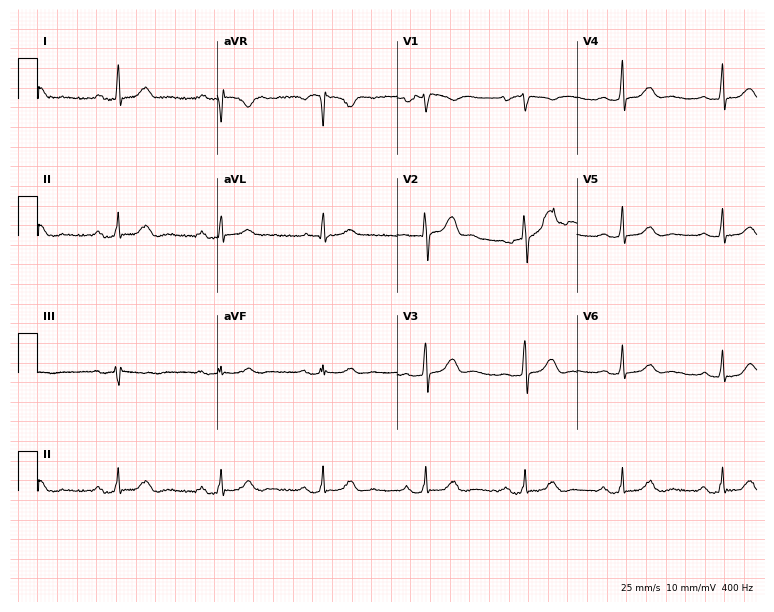
Standard 12-lead ECG recorded from a female patient, 62 years old (7.3-second recording at 400 Hz). Read as a normal ECG.